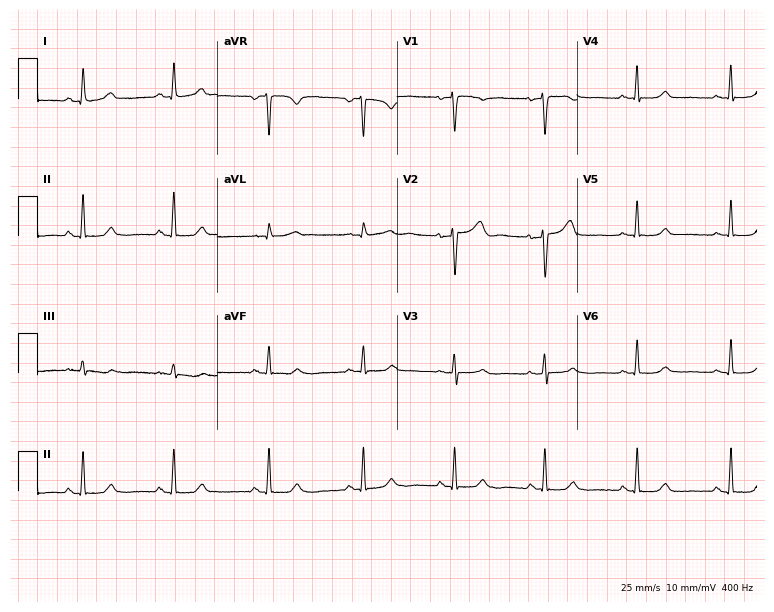
12-lead ECG (7.3-second recording at 400 Hz) from a female, 47 years old. Labelled as a normal ECG.